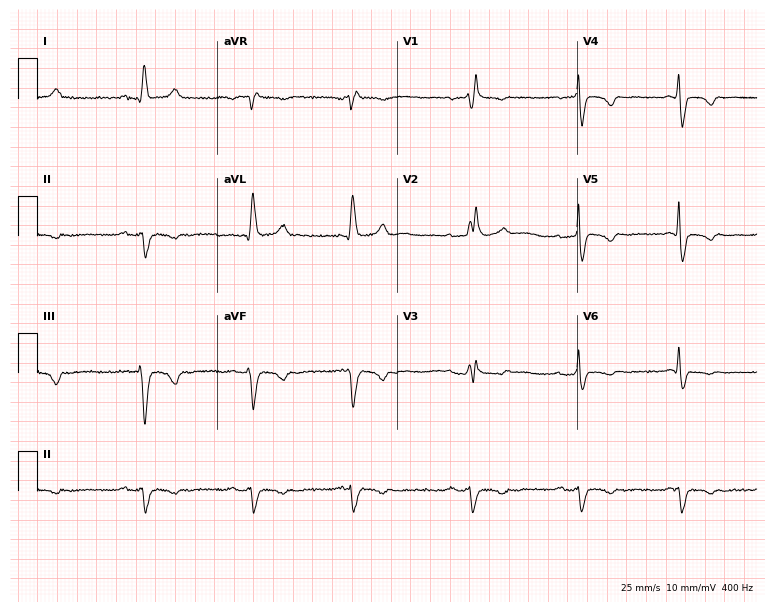
Standard 12-lead ECG recorded from a 61-year-old female. The tracing shows right bundle branch block (RBBB).